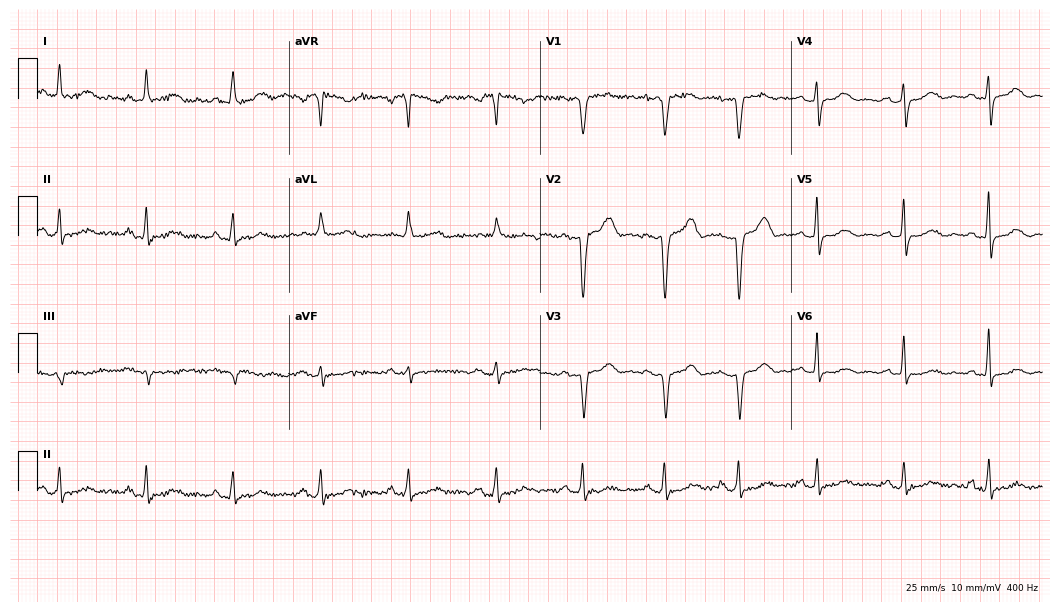
12-lead ECG from an 82-year-old female. No first-degree AV block, right bundle branch block, left bundle branch block, sinus bradycardia, atrial fibrillation or sinus tachycardia recorded for this tracing. Findings outside these six are not listed.